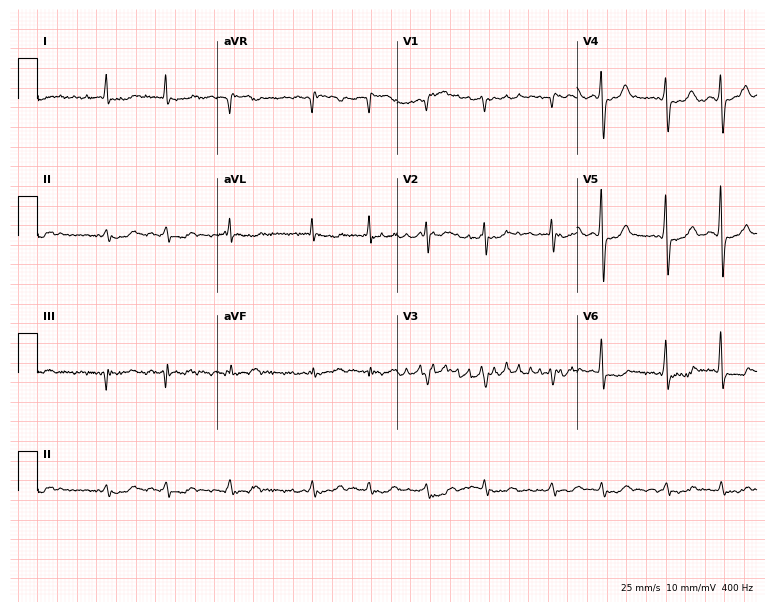
Resting 12-lead electrocardiogram. Patient: a male, 75 years old. The tracing shows atrial fibrillation.